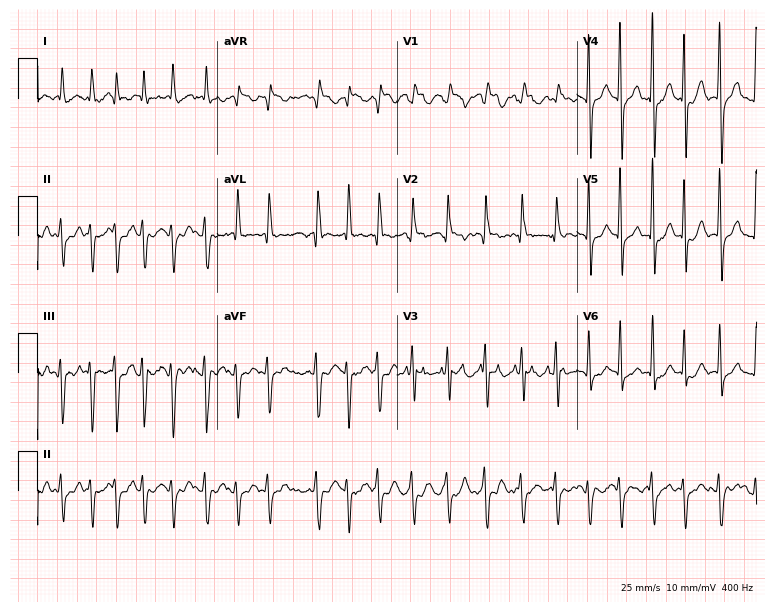
12-lead ECG from a 58-year-old male patient (7.3-second recording at 400 Hz). Shows atrial fibrillation (AF).